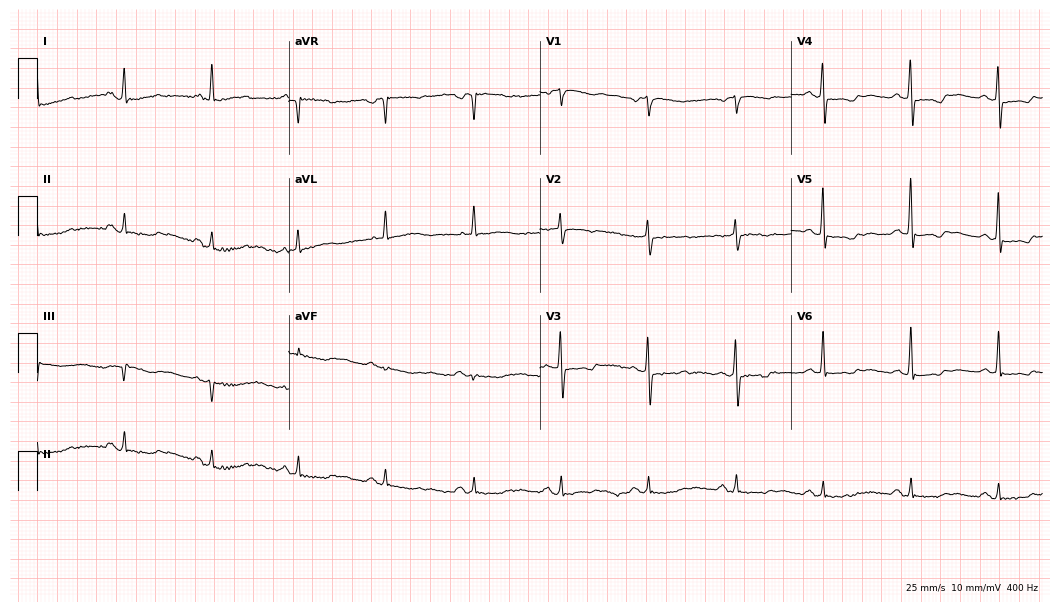
Resting 12-lead electrocardiogram (10.2-second recording at 400 Hz). Patient: an 80-year-old female. None of these six findings is recorded: first-degree AV block, right bundle branch block, left bundle branch block, sinus bradycardia, atrial fibrillation, sinus tachycardia. Findings outside these six are not listed.